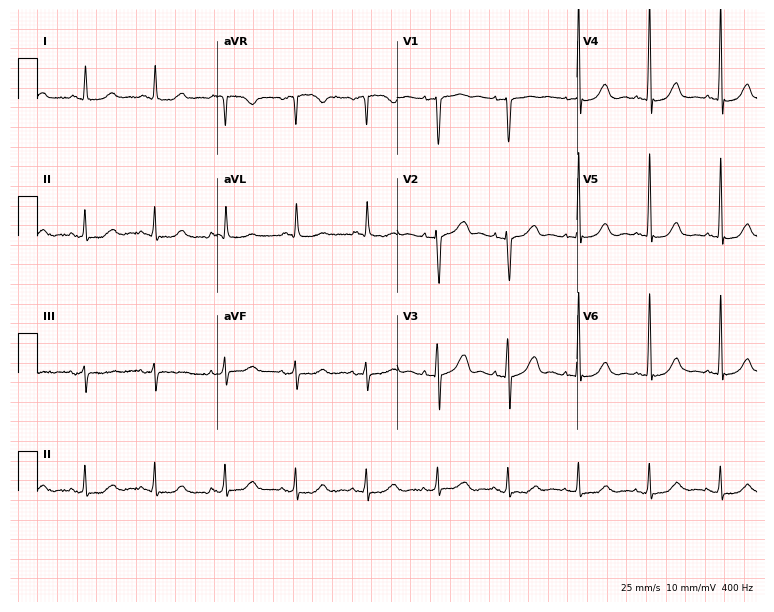
Standard 12-lead ECG recorded from a 71-year-old female patient (7.3-second recording at 400 Hz). None of these six findings is recorded: first-degree AV block, right bundle branch block, left bundle branch block, sinus bradycardia, atrial fibrillation, sinus tachycardia. Only these six findings were labelled.